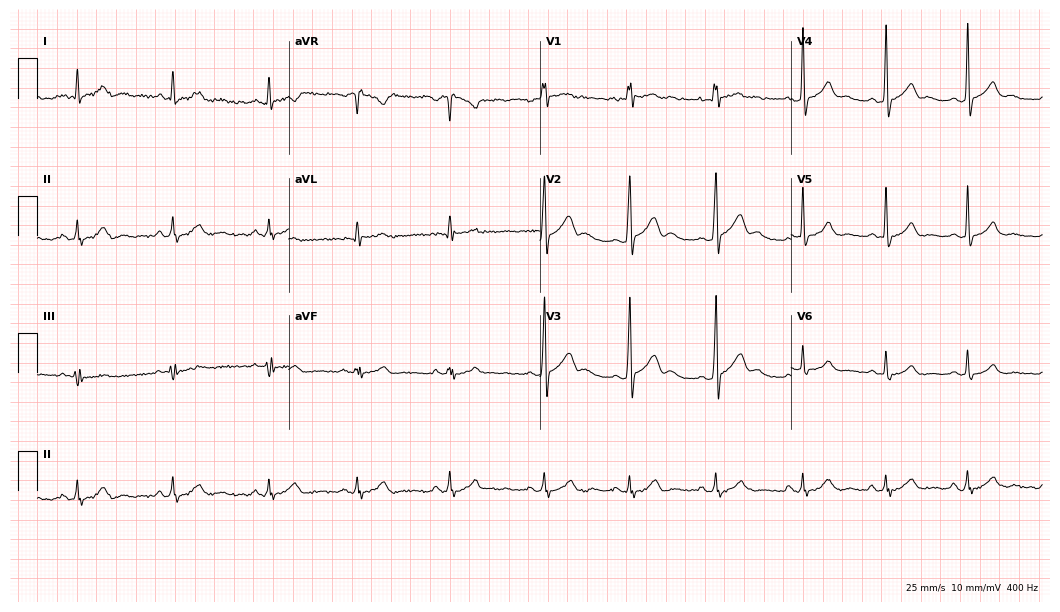
Electrocardiogram (10.2-second recording at 400 Hz), a 22-year-old male. Overall reading on record: normal ECG.